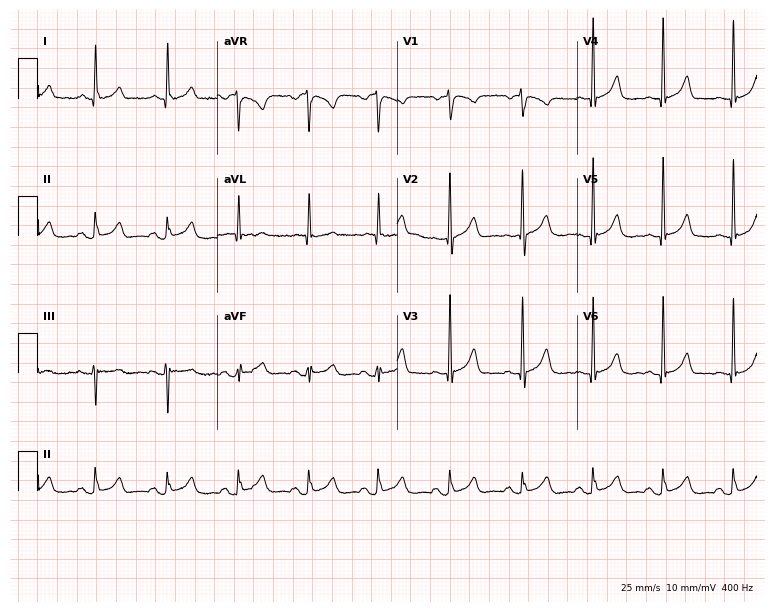
Standard 12-lead ECG recorded from a 70-year-old female. Read as a normal ECG.